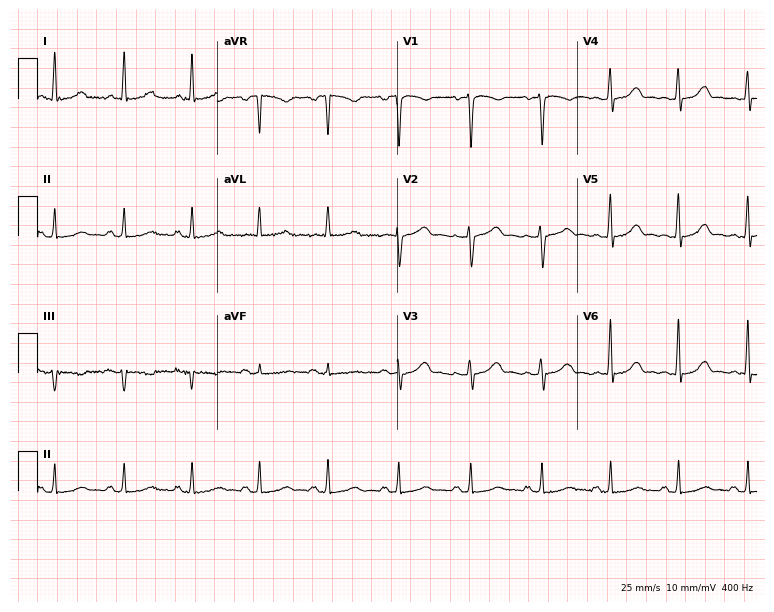
12-lead ECG from a 60-year-old female. Labelled as a normal ECG.